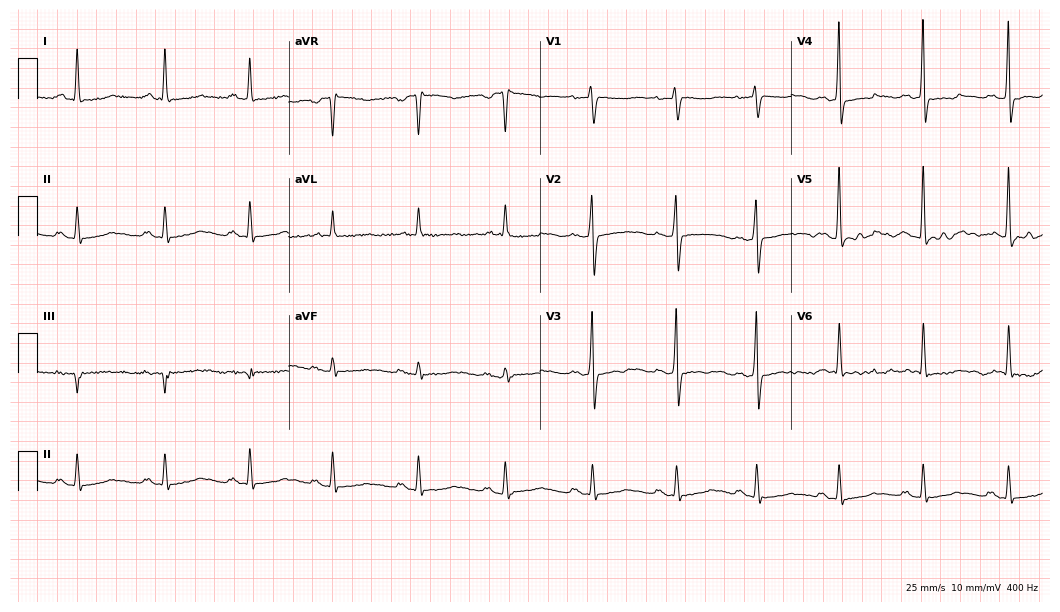
Electrocardiogram, a 45-year-old woman. Of the six screened findings (first-degree AV block, right bundle branch block, left bundle branch block, sinus bradycardia, atrial fibrillation, sinus tachycardia), none is recorded.